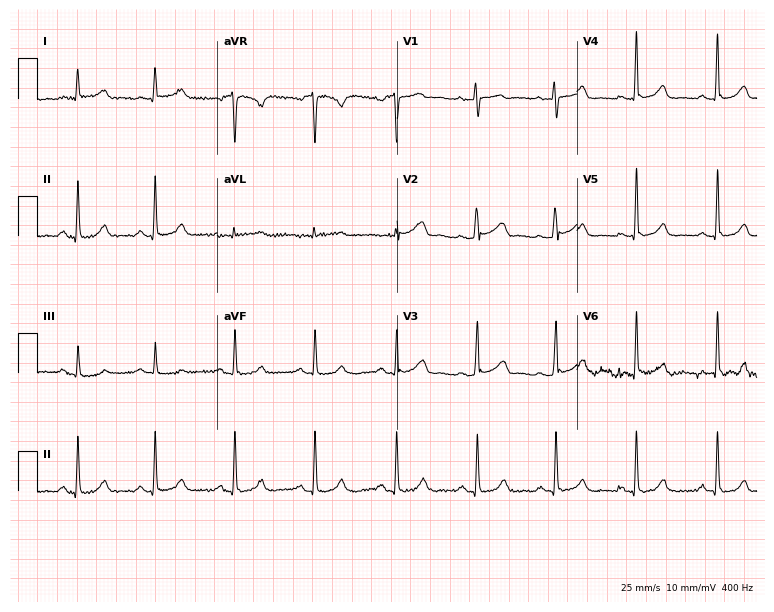
Standard 12-lead ECG recorded from a 50-year-old woman (7.3-second recording at 400 Hz). Read as a normal ECG.